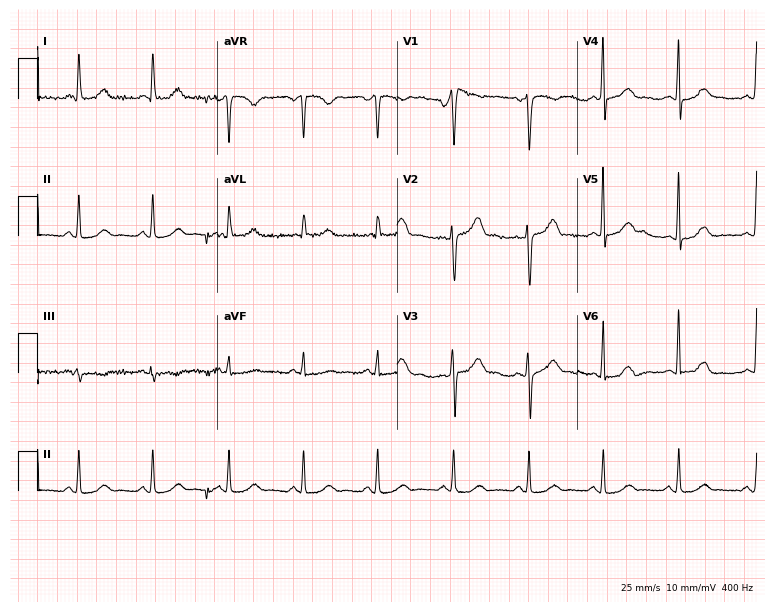
Standard 12-lead ECG recorded from a 44-year-old female patient (7.3-second recording at 400 Hz). None of these six findings is recorded: first-degree AV block, right bundle branch block, left bundle branch block, sinus bradycardia, atrial fibrillation, sinus tachycardia.